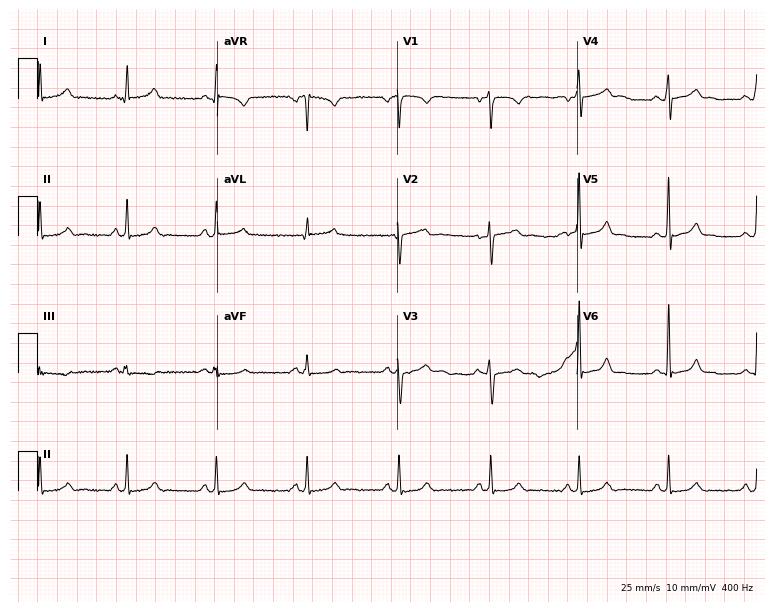
12-lead ECG from a male, 36 years old. Labelled as a normal ECG.